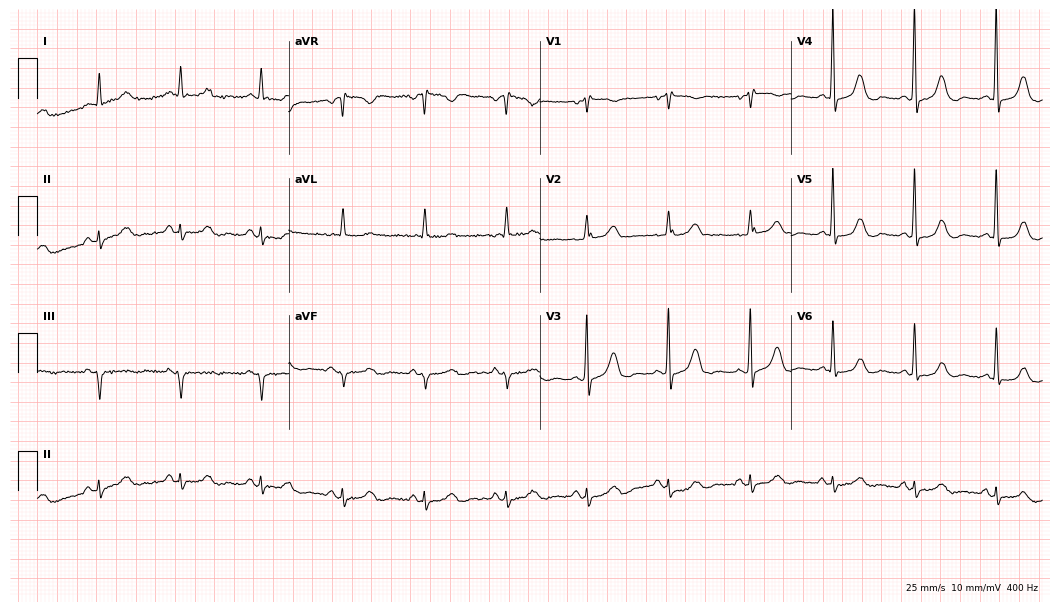
12-lead ECG from a 78-year-old female (10.2-second recording at 400 Hz). Recorded interpretation: within normal limits.